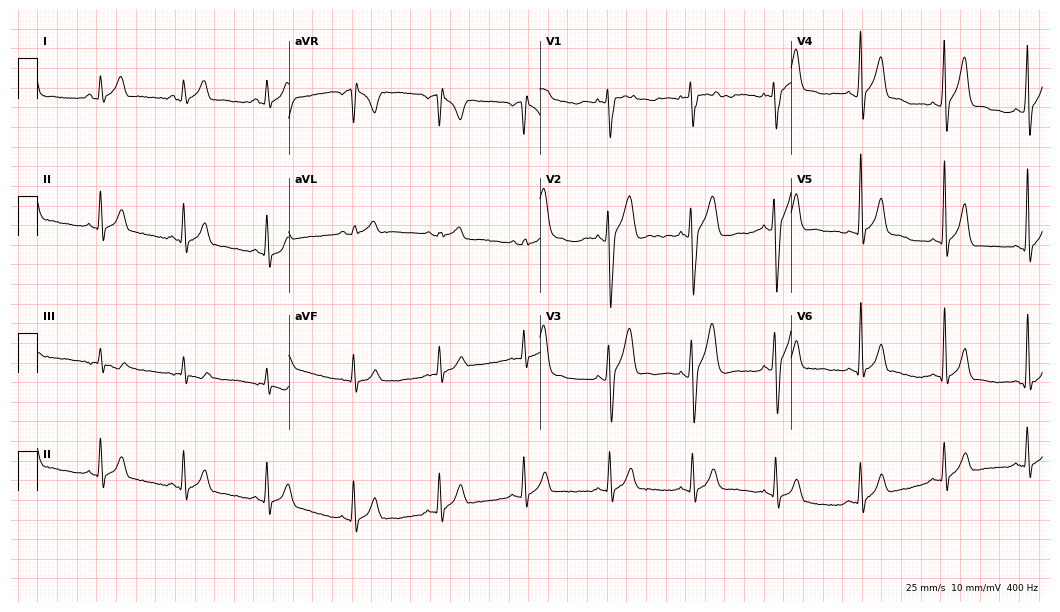
Electrocardiogram, a 20-year-old male. Overall reading on record: normal ECG.